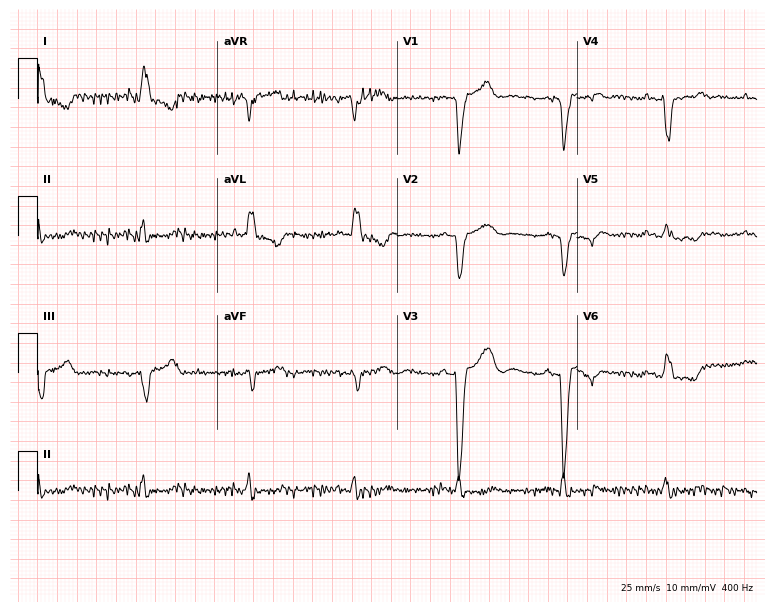
12-lead ECG from a female patient, 68 years old. Screened for six findings — first-degree AV block, right bundle branch block, left bundle branch block, sinus bradycardia, atrial fibrillation, sinus tachycardia — none is recorded. Findings outside these six are not listed.